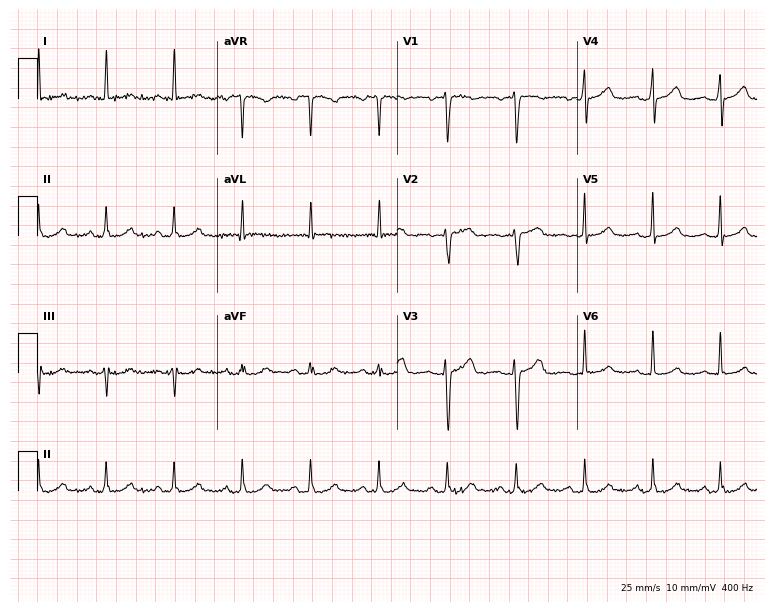
ECG (7.3-second recording at 400 Hz) — a 63-year-old woman. Labelled as a normal ECG.